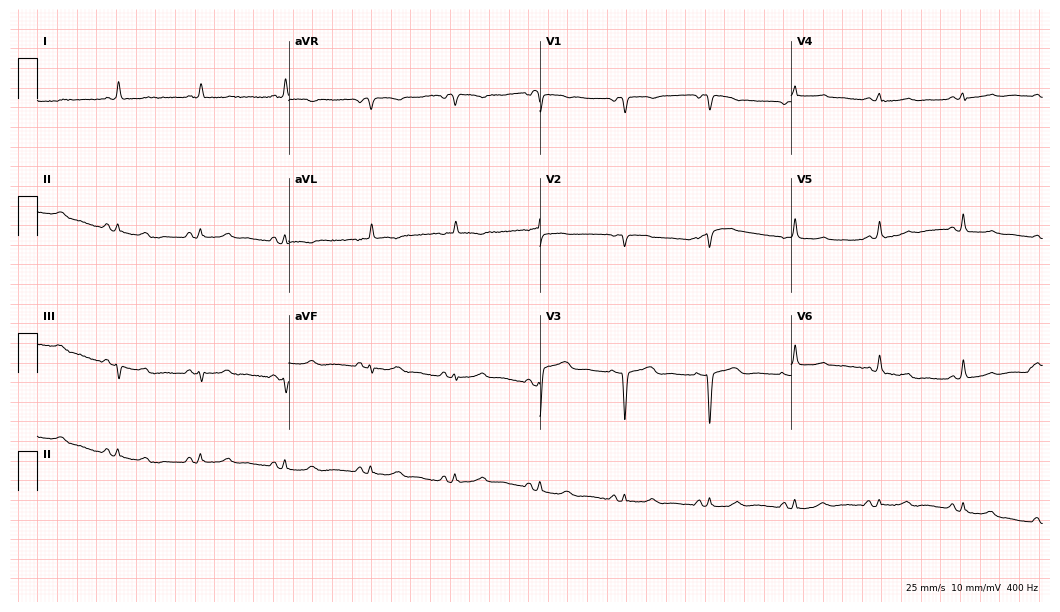
Electrocardiogram, an 80-year-old woman. Of the six screened findings (first-degree AV block, right bundle branch block, left bundle branch block, sinus bradycardia, atrial fibrillation, sinus tachycardia), none is recorded. Only these six findings were labelled.